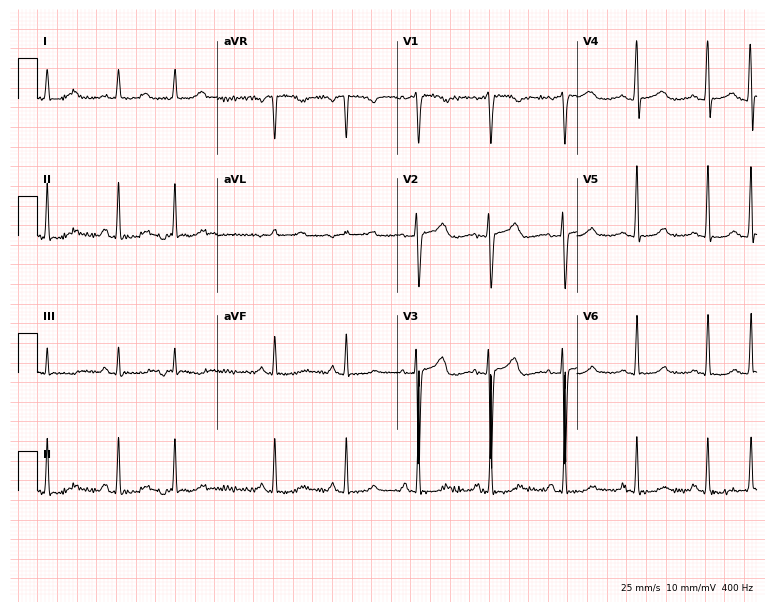
Resting 12-lead electrocardiogram (7.3-second recording at 400 Hz). Patient: a female, 32 years old. None of these six findings is recorded: first-degree AV block, right bundle branch block (RBBB), left bundle branch block (LBBB), sinus bradycardia, atrial fibrillation (AF), sinus tachycardia.